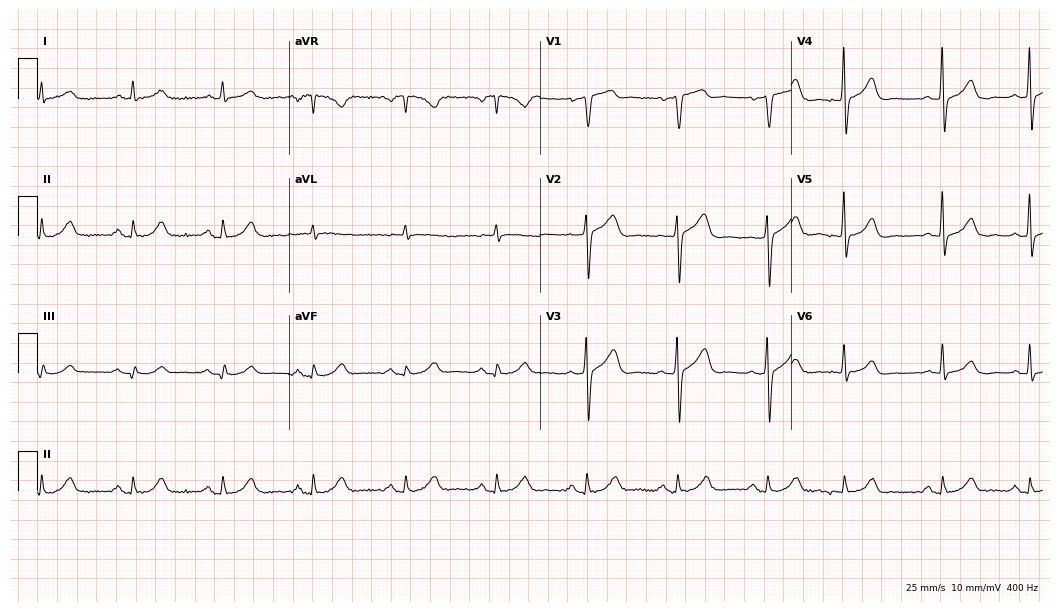
ECG (10.2-second recording at 400 Hz) — a man, 62 years old. Screened for six findings — first-degree AV block, right bundle branch block (RBBB), left bundle branch block (LBBB), sinus bradycardia, atrial fibrillation (AF), sinus tachycardia — none is recorded. Other findings, if any, are not listed.